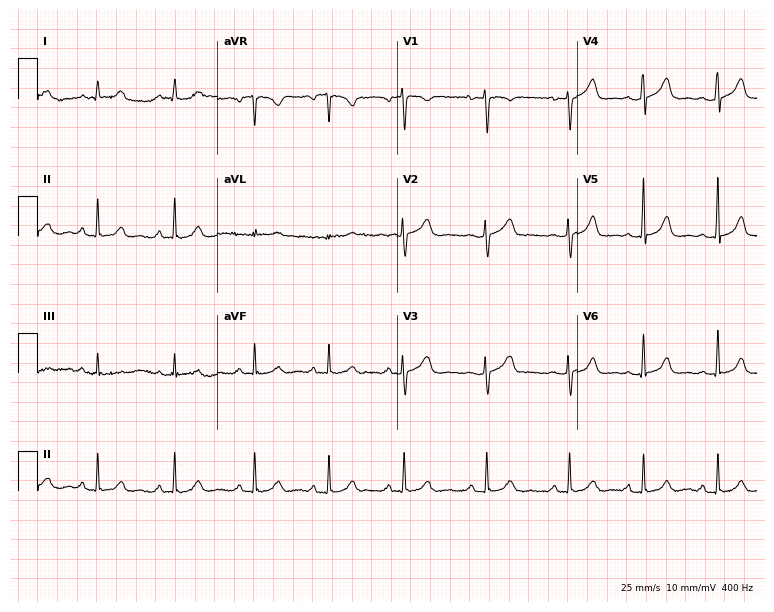
12-lead ECG (7.3-second recording at 400 Hz) from a 24-year-old female. Labelled as a normal ECG.